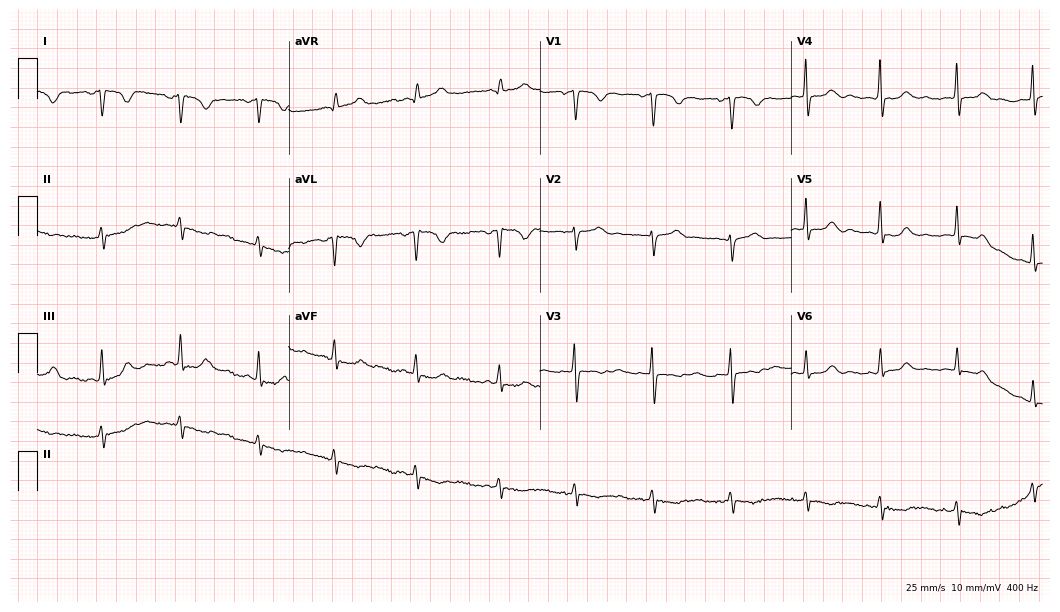
ECG (10.2-second recording at 400 Hz) — a female patient, 40 years old. Screened for six findings — first-degree AV block, right bundle branch block, left bundle branch block, sinus bradycardia, atrial fibrillation, sinus tachycardia — none is recorded.